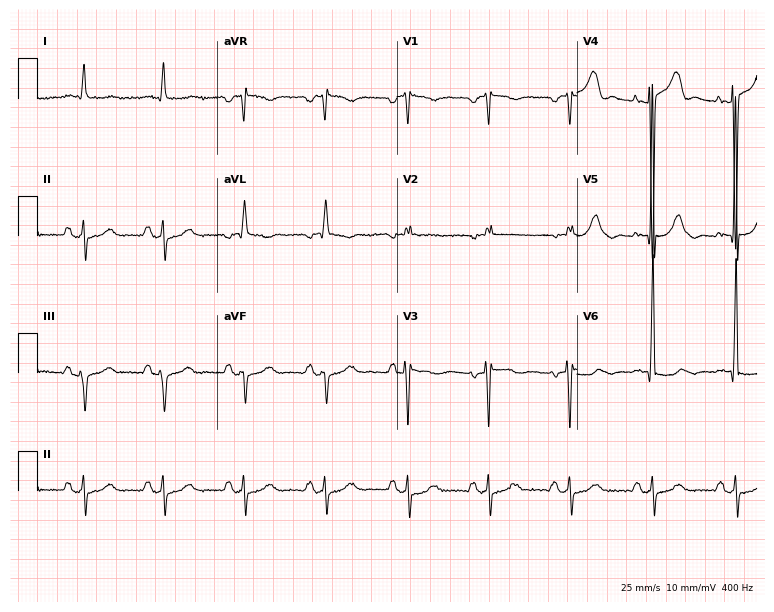
Resting 12-lead electrocardiogram (7.3-second recording at 400 Hz). Patient: a 68-year-old male. None of these six findings is recorded: first-degree AV block, right bundle branch block, left bundle branch block, sinus bradycardia, atrial fibrillation, sinus tachycardia.